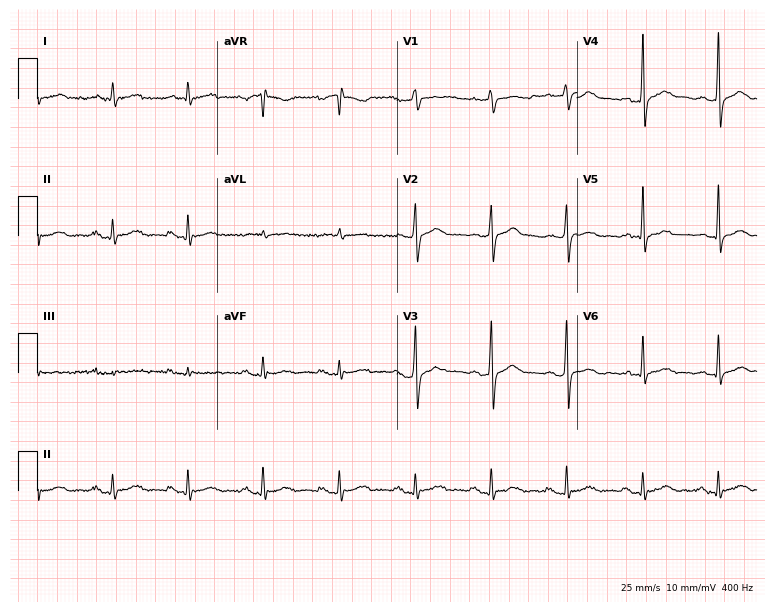
Electrocardiogram (7.3-second recording at 400 Hz), a 59-year-old male. Of the six screened findings (first-degree AV block, right bundle branch block (RBBB), left bundle branch block (LBBB), sinus bradycardia, atrial fibrillation (AF), sinus tachycardia), none is recorded.